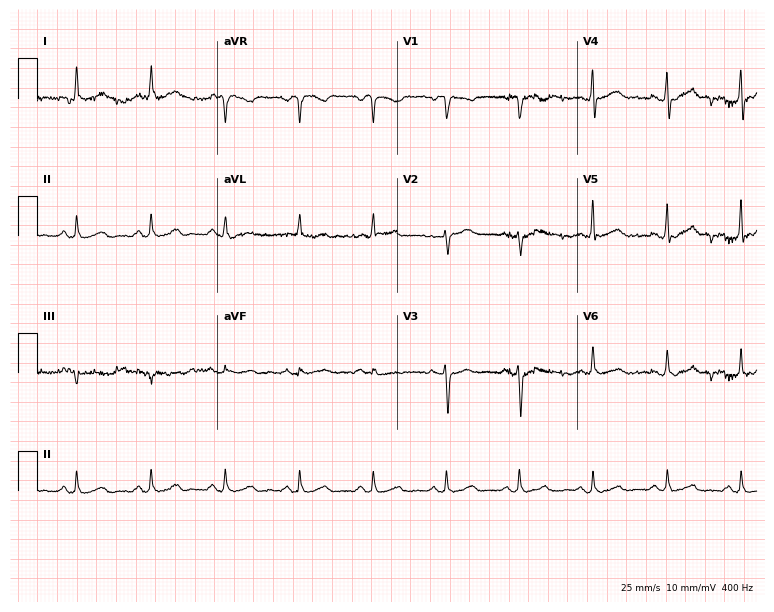
12-lead ECG from a female patient, 54 years old. No first-degree AV block, right bundle branch block, left bundle branch block, sinus bradycardia, atrial fibrillation or sinus tachycardia recorded for this tracing. Other findings, if any, are not listed.